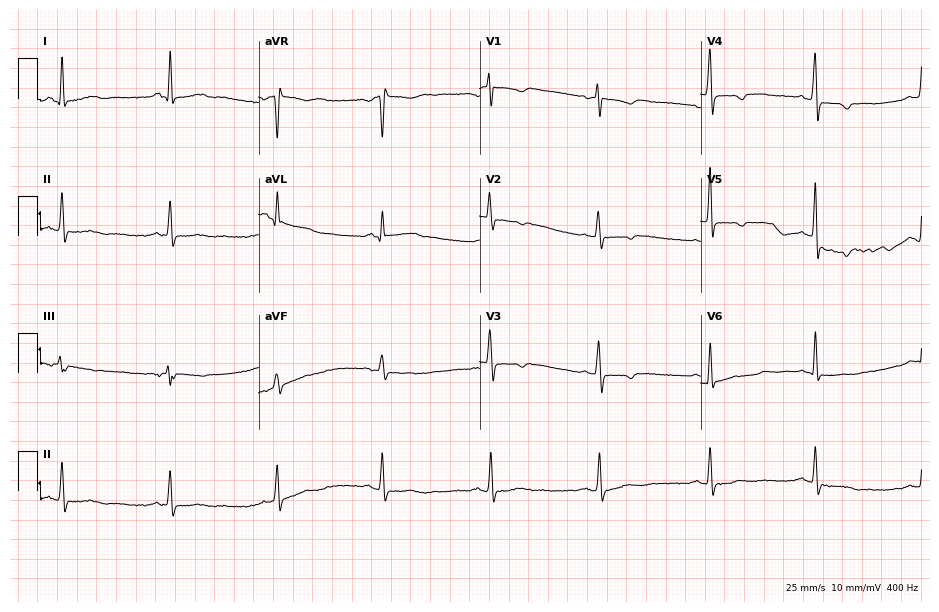
ECG — a female patient, 60 years old. Screened for six findings — first-degree AV block, right bundle branch block (RBBB), left bundle branch block (LBBB), sinus bradycardia, atrial fibrillation (AF), sinus tachycardia — none is recorded. Only these six findings were labelled.